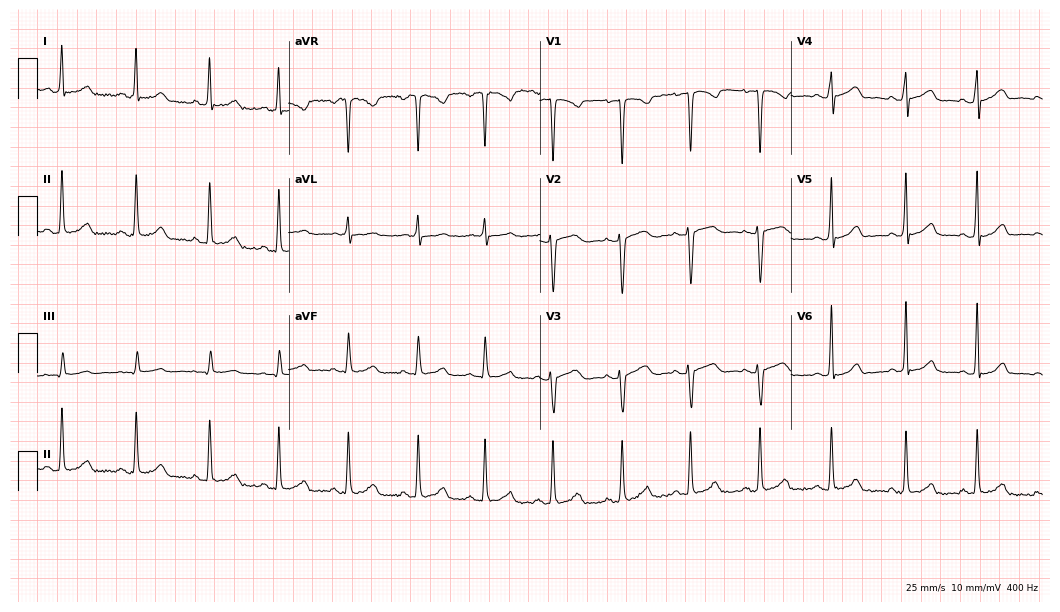
Resting 12-lead electrocardiogram (10.2-second recording at 400 Hz). Patient: a 33-year-old woman. Read as a normal ECG.